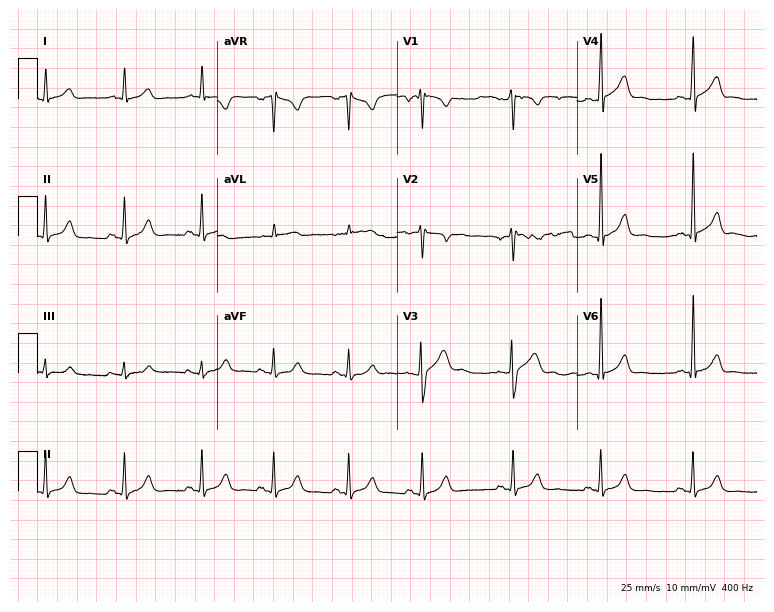
Standard 12-lead ECG recorded from a male patient, 37 years old (7.3-second recording at 400 Hz). Read as a normal ECG.